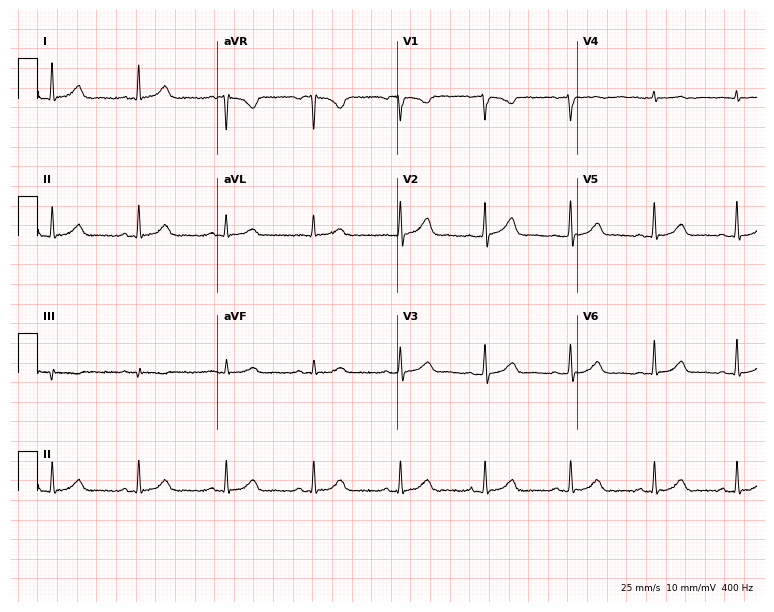
Resting 12-lead electrocardiogram. Patient: a 64-year-old female. Read as a normal ECG.